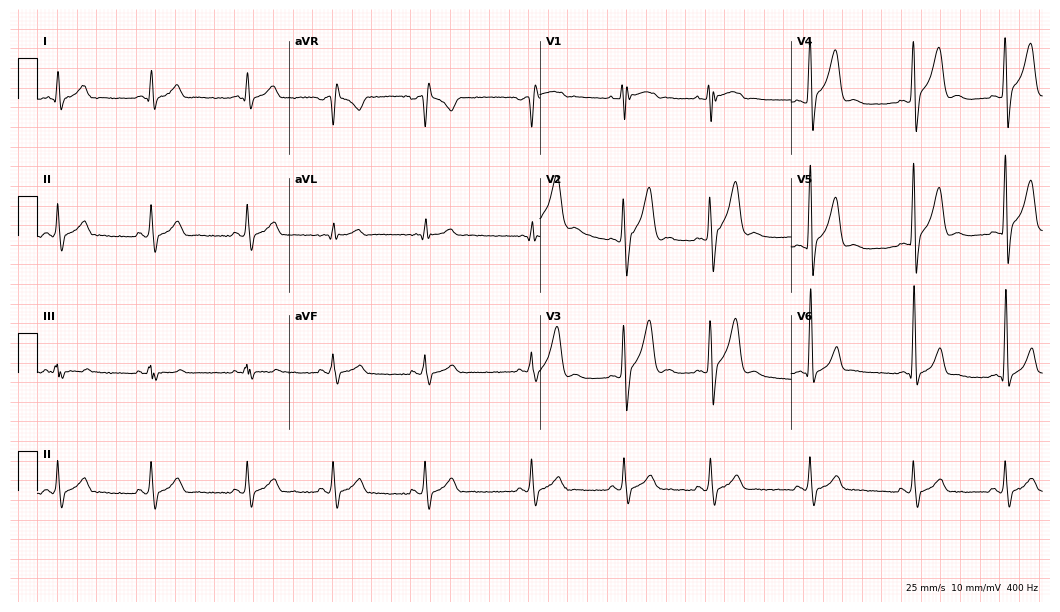
Electrocardiogram (10.2-second recording at 400 Hz), a 29-year-old man. Of the six screened findings (first-degree AV block, right bundle branch block, left bundle branch block, sinus bradycardia, atrial fibrillation, sinus tachycardia), none is recorded. Other findings, if any, are not listed.